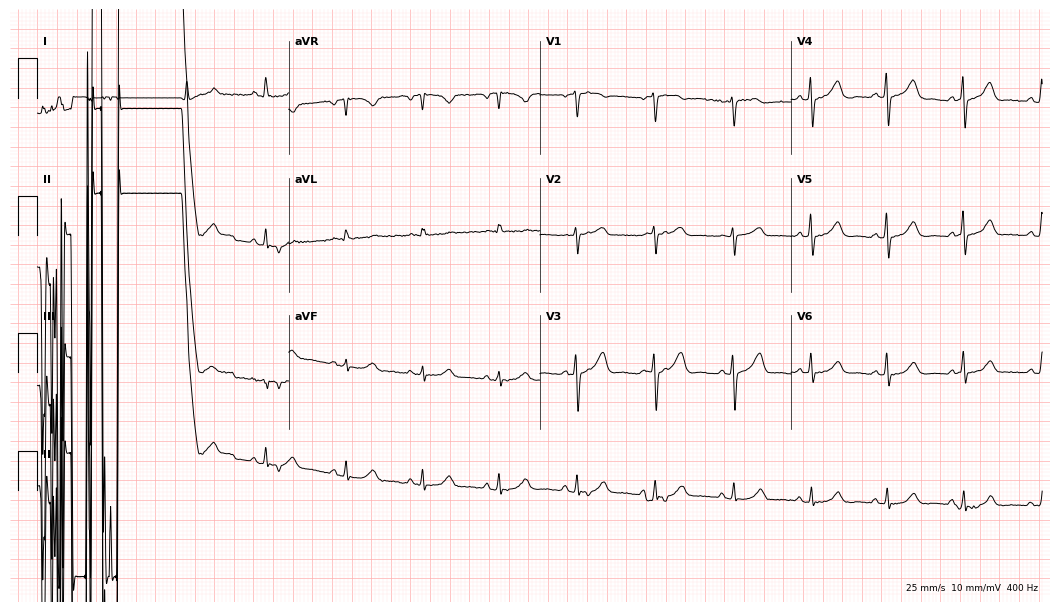
ECG (10.2-second recording at 400 Hz) — a 52-year-old female. Screened for six findings — first-degree AV block, right bundle branch block, left bundle branch block, sinus bradycardia, atrial fibrillation, sinus tachycardia — none is recorded.